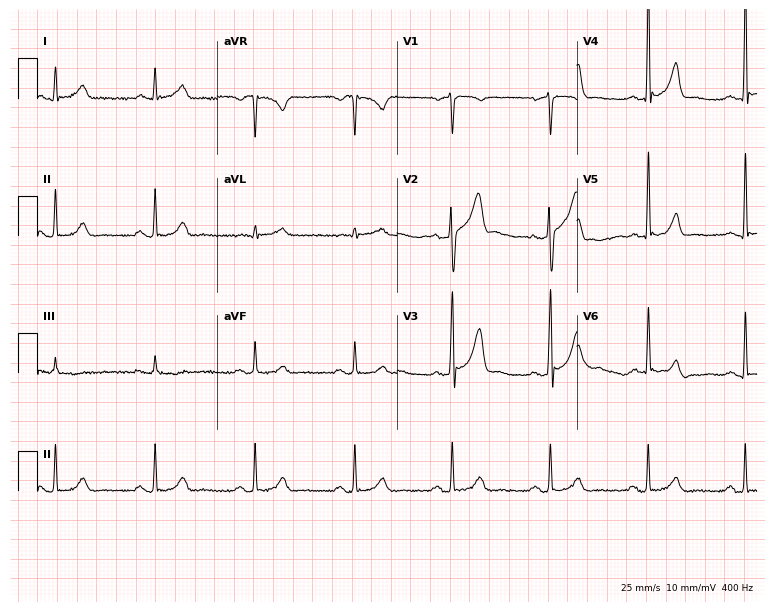
Standard 12-lead ECG recorded from a male patient, 50 years old. Read as a normal ECG.